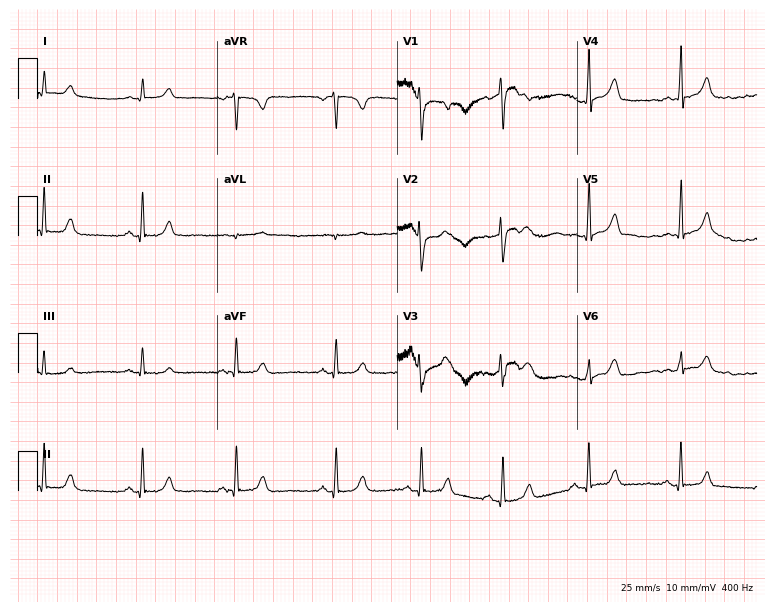
Standard 12-lead ECG recorded from a female patient, 26 years old. Read as a normal ECG.